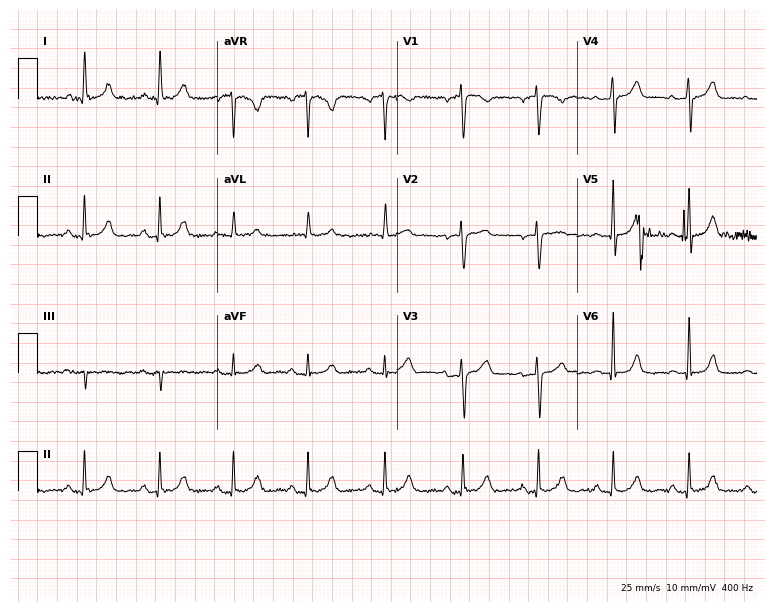
12-lead ECG from a 59-year-old woman. Screened for six findings — first-degree AV block, right bundle branch block, left bundle branch block, sinus bradycardia, atrial fibrillation, sinus tachycardia — none is recorded. Only these six findings were labelled.